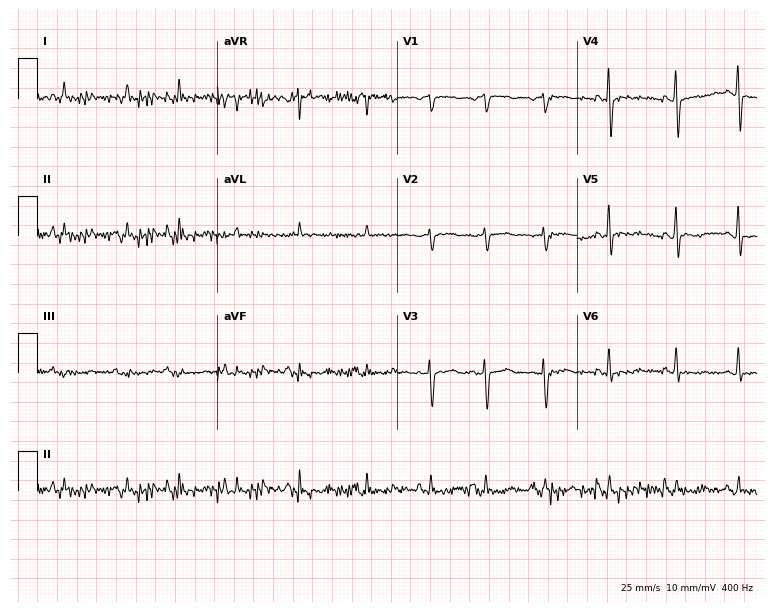
ECG (7.3-second recording at 400 Hz) — a 76-year-old female patient. Screened for six findings — first-degree AV block, right bundle branch block, left bundle branch block, sinus bradycardia, atrial fibrillation, sinus tachycardia — none is recorded. Only these six findings were labelled.